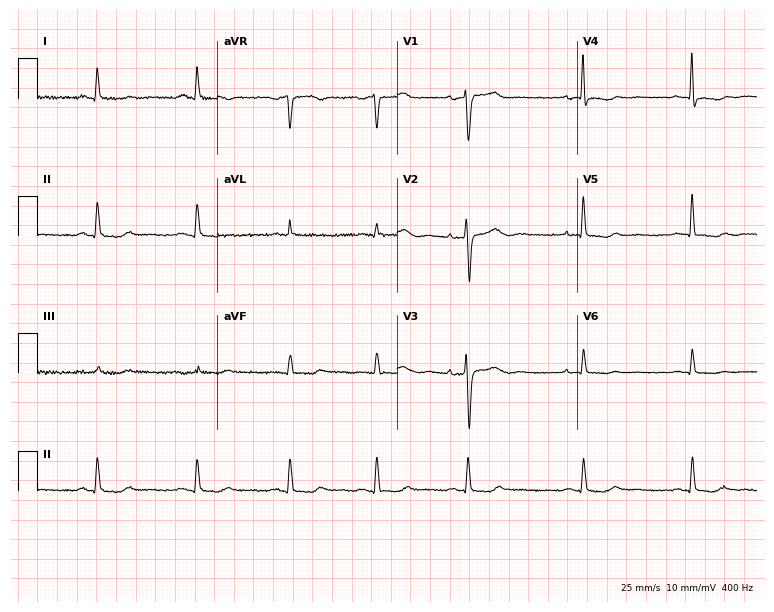
Standard 12-lead ECG recorded from a 59-year-old female patient (7.3-second recording at 400 Hz). None of these six findings is recorded: first-degree AV block, right bundle branch block (RBBB), left bundle branch block (LBBB), sinus bradycardia, atrial fibrillation (AF), sinus tachycardia. Only these six findings were labelled.